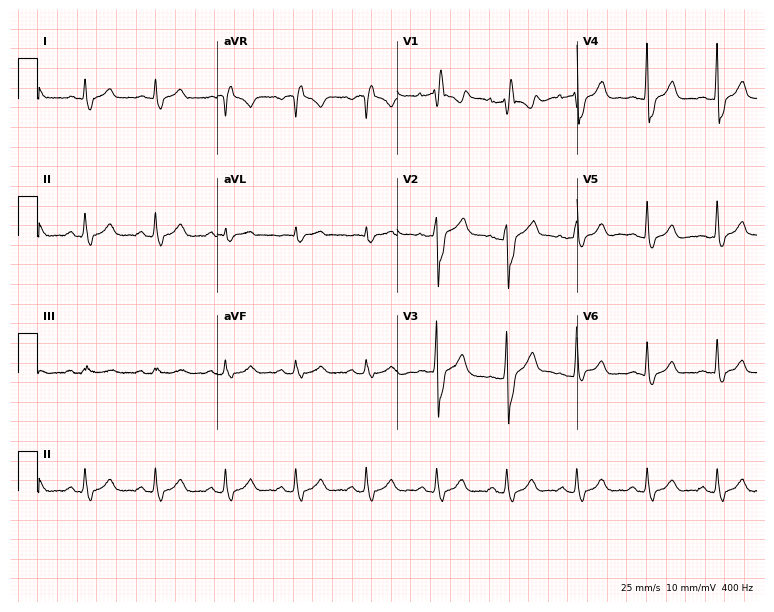
Electrocardiogram (7.3-second recording at 400 Hz), a 63-year-old male. Interpretation includes right bundle branch block.